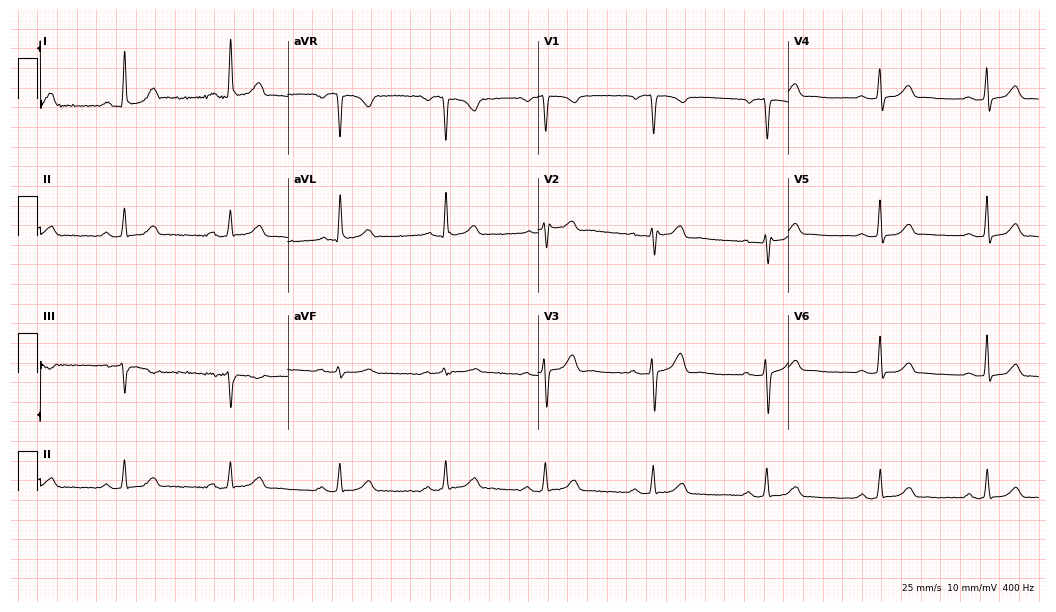
Electrocardiogram (10.2-second recording at 400 Hz), a 34-year-old male. Overall reading on record: normal ECG.